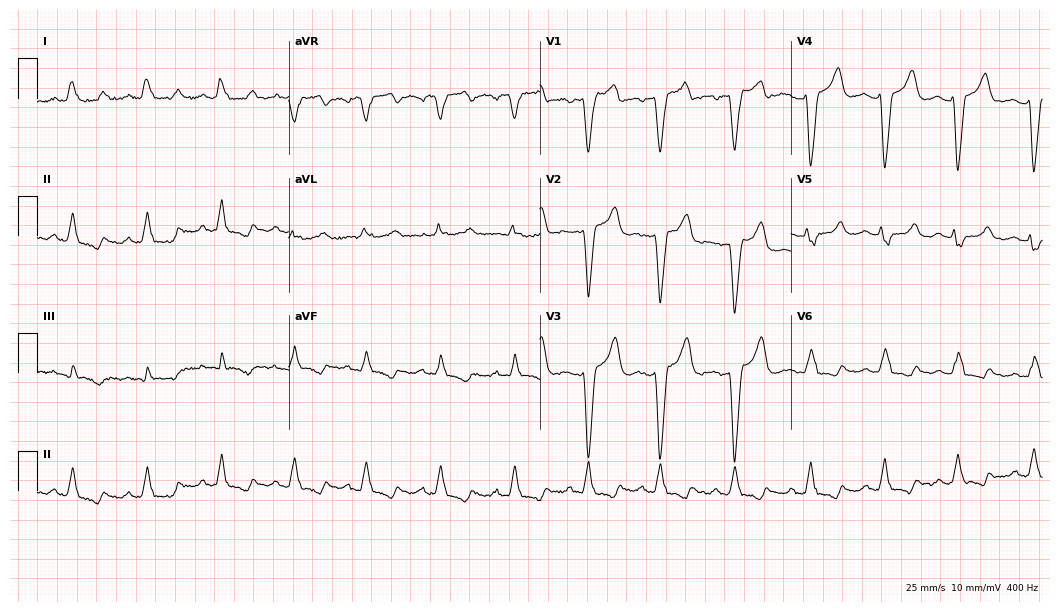
Resting 12-lead electrocardiogram. Patient: a female, 54 years old. The tracing shows left bundle branch block (LBBB).